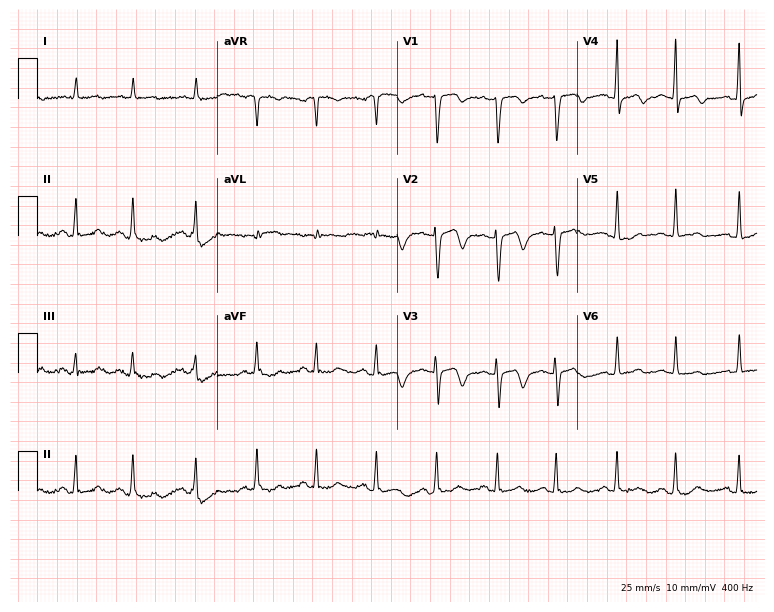
12-lead ECG from an 80-year-old woman. Screened for six findings — first-degree AV block, right bundle branch block, left bundle branch block, sinus bradycardia, atrial fibrillation, sinus tachycardia — none is recorded.